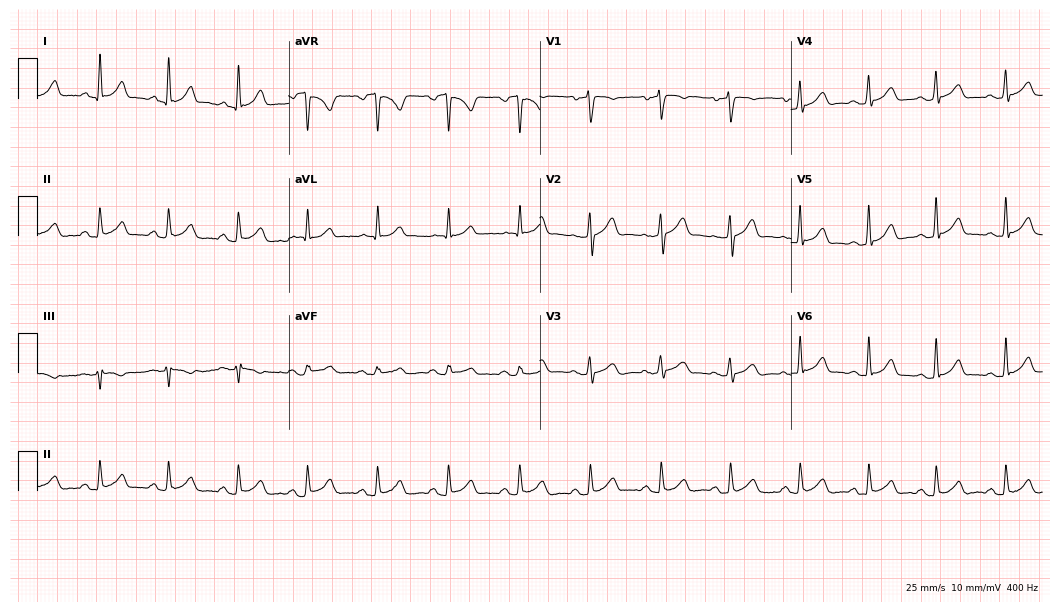
Resting 12-lead electrocardiogram (10.2-second recording at 400 Hz). Patient: a man, 57 years old. Read as a normal ECG.